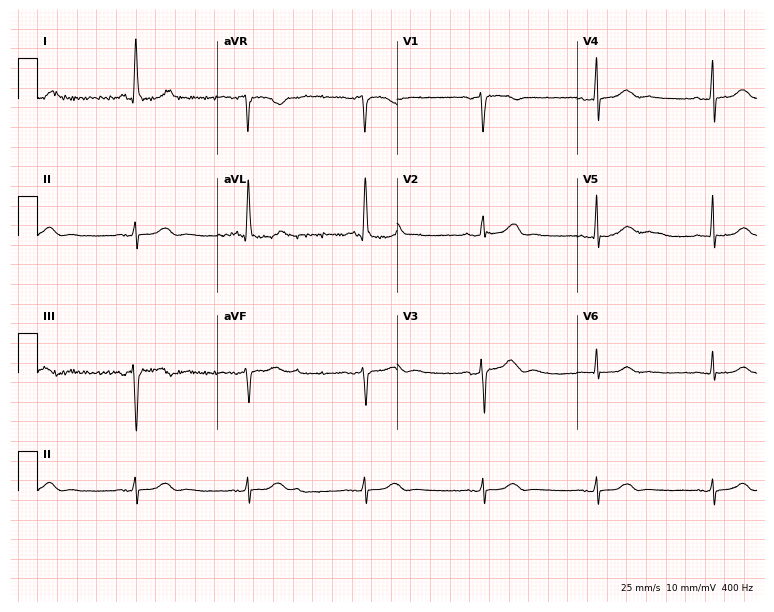
Standard 12-lead ECG recorded from a 68-year-old female patient. Read as a normal ECG.